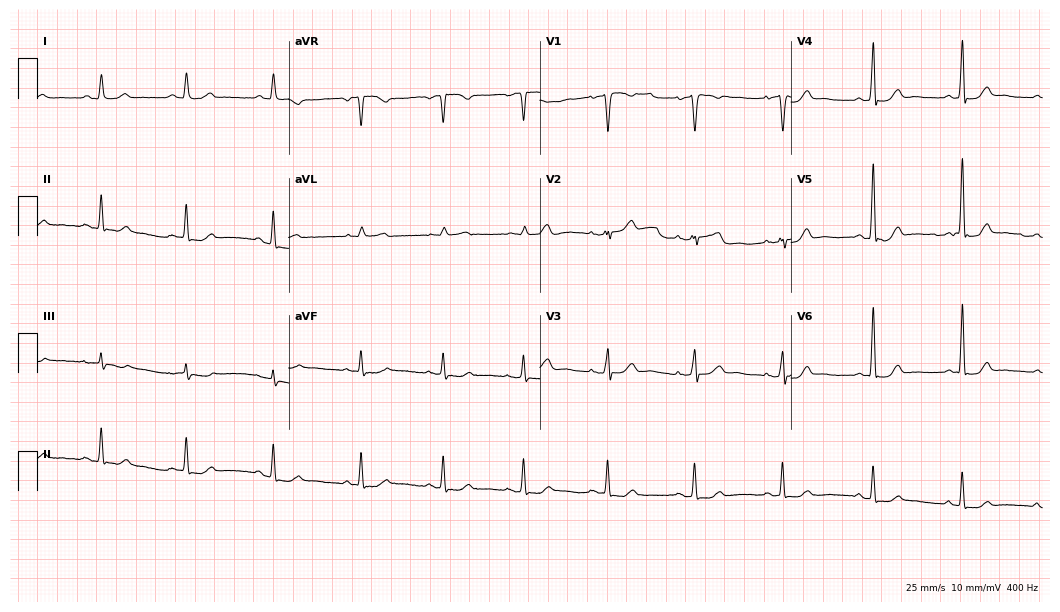
12-lead ECG from a man, 39 years old. Recorded interpretation: within normal limits.